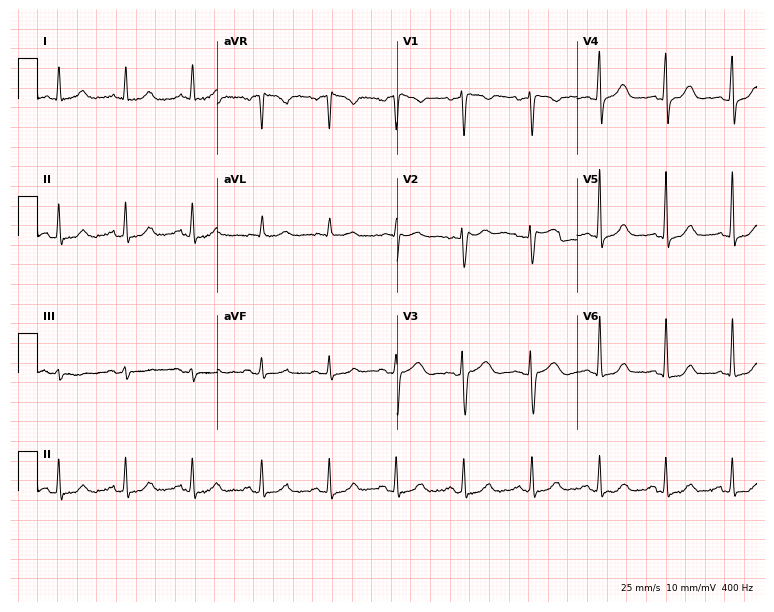
ECG — a 50-year-old female patient. Labelled as a normal ECG.